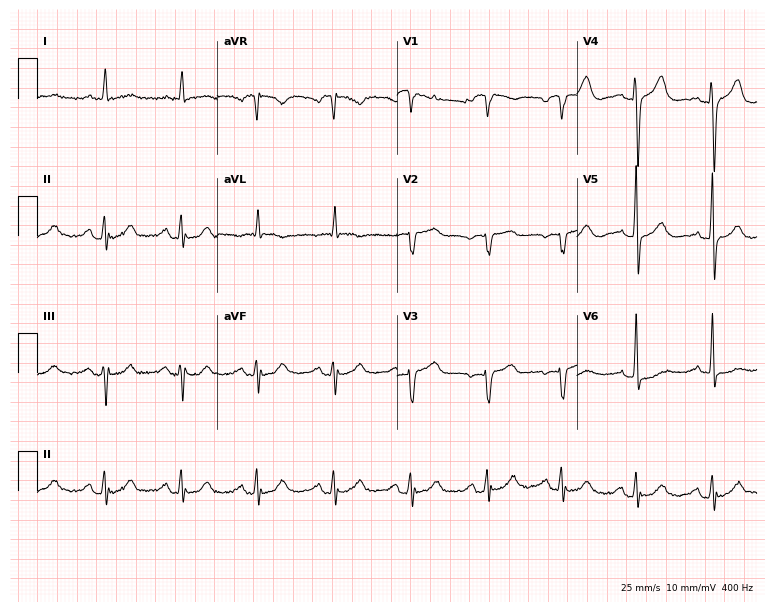
Resting 12-lead electrocardiogram (7.3-second recording at 400 Hz). Patient: a female, 76 years old. None of these six findings is recorded: first-degree AV block, right bundle branch block, left bundle branch block, sinus bradycardia, atrial fibrillation, sinus tachycardia. Findings outside these six are not listed.